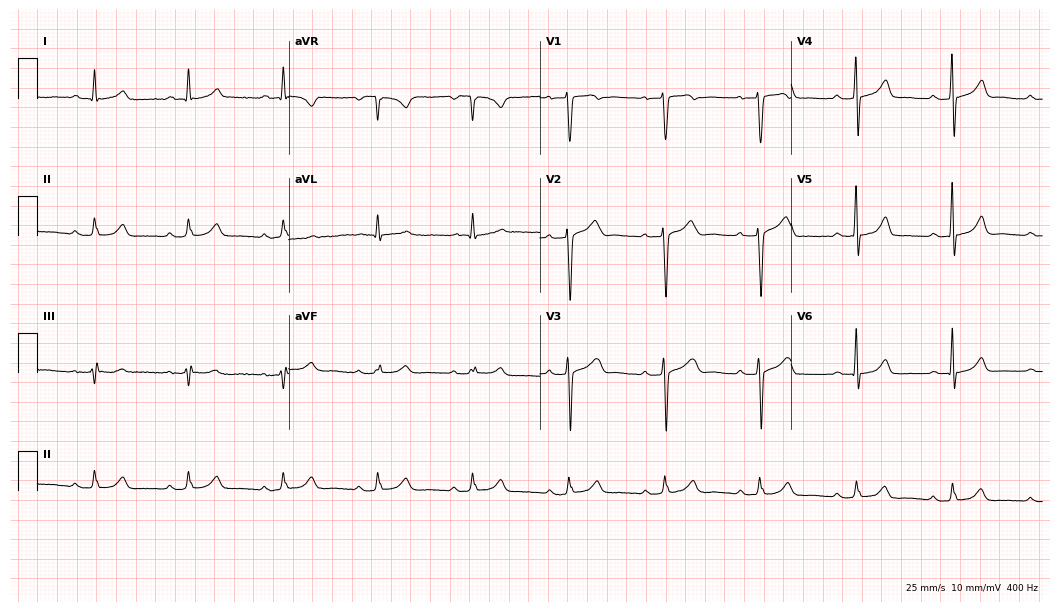
12-lead ECG from a man, 64 years old (10.2-second recording at 400 Hz). Recorded interpretation: within normal limits.